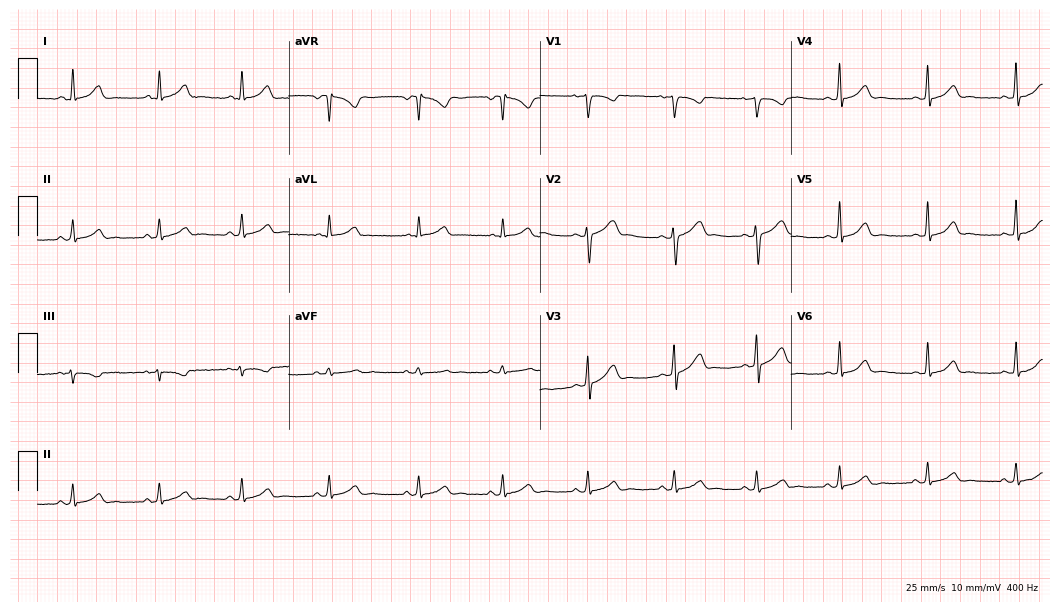
Standard 12-lead ECG recorded from a female patient, 29 years old. None of these six findings is recorded: first-degree AV block, right bundle branch block (RBBB), left bundle branch block (LBBB), sinus bradycardia, atrial fibrillation (AF), sinus tachycardia. Findings outside these six are not listed.